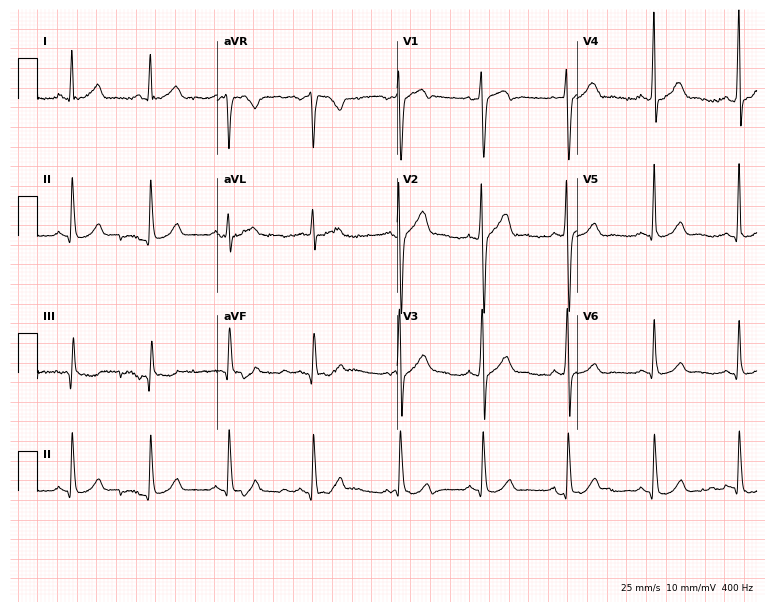
ECG (7.3-second recording at 400 Hz) — a 31-year-old man. Labelled as a normal ECG.